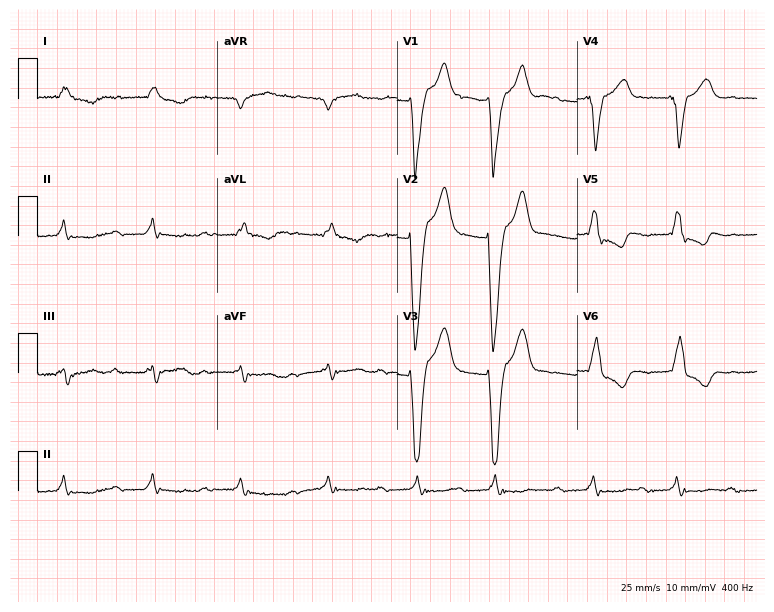
Standard 12-lead ECG recorded from an 85-year-old male (7.3-second recording at 400 Hz). The tracing shows first-degree AV block, left bundle branch block.